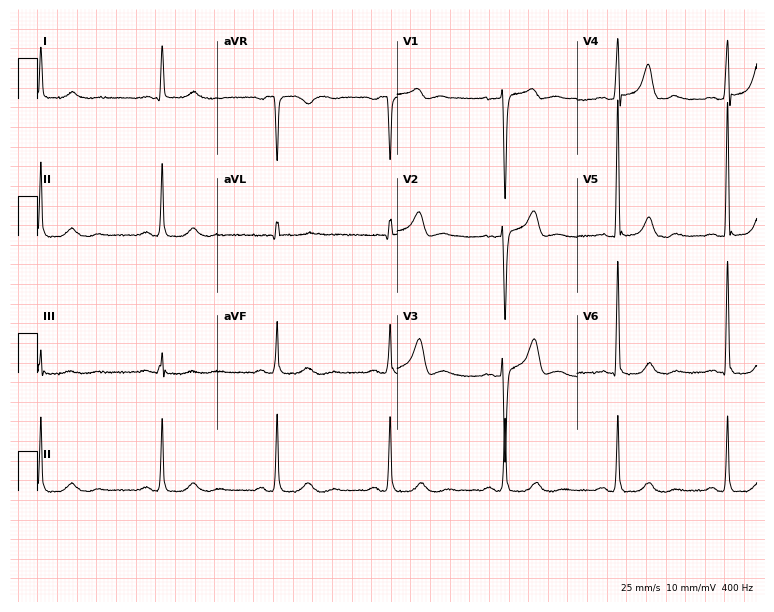
Resting 12-lead electrocardiogram (7.3-second recording at 400 Hz). Patient: a man, 66 years old. Read as a normal ECG.